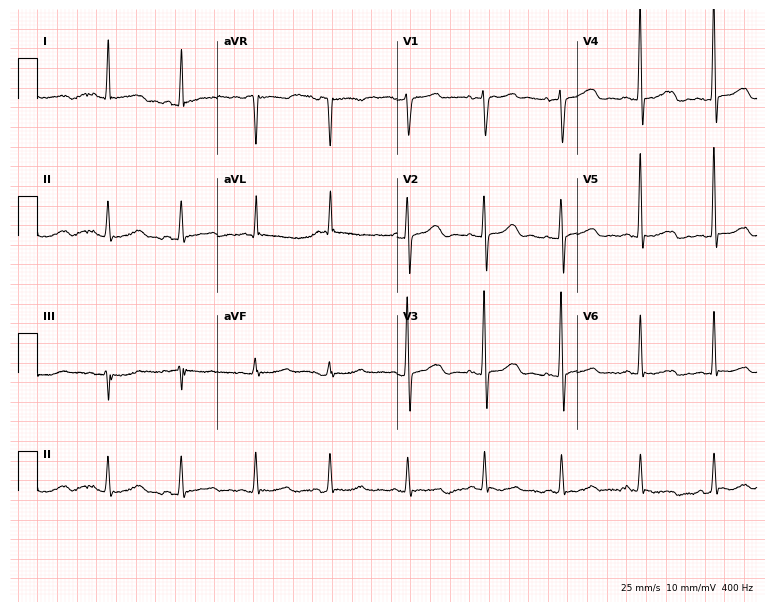
12-lead ECG from a 71-year-old woman. Labelled as a normal ECG.